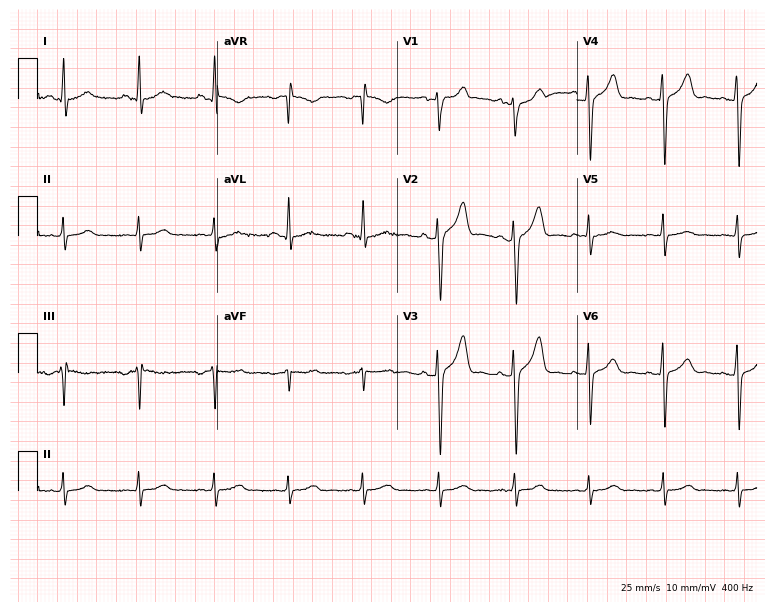
Standard 12-lead ECG recorded from a 41-year-old man. Read as a normal ECG.